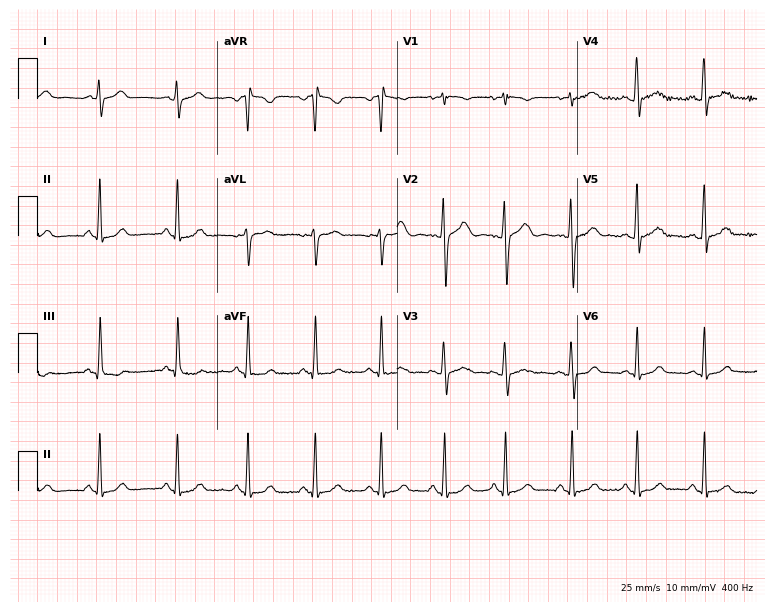
Standard 12-lead ECG recorded from a woman, 18 years old (7.3-second recording at 400 Hz). Read as a normal ECG.